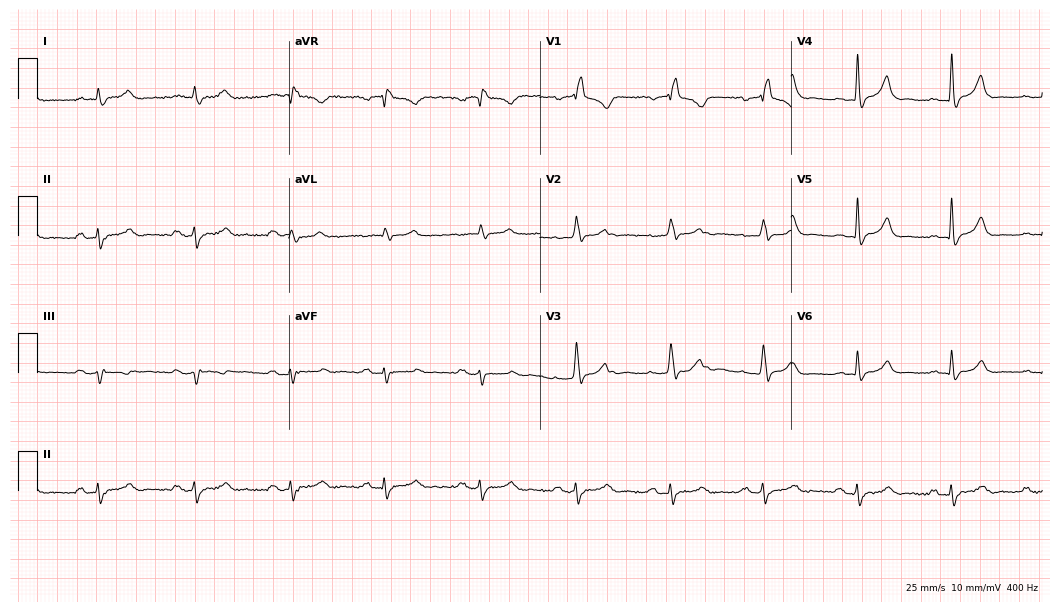
Resting 12-lead electrocardiogram (10.2-second recording at 400 Hz). Patient: a man, 49 years old. None of these six findings is recorded: first-degree AV block, right bundle branch block, left bundle branch block, sinus bradycardia, atrial fibrillation, sinus tachycardia. Only these six findings were labelled.